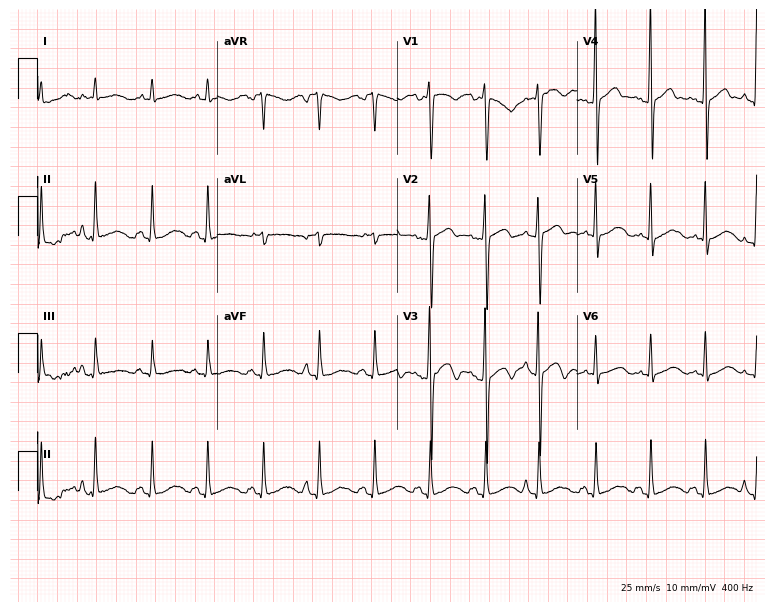
Electrocardiogram, a 59-year-old man. Interpretation includes sinus tachycardia (a sinus rate of 100 beats per minute or more).